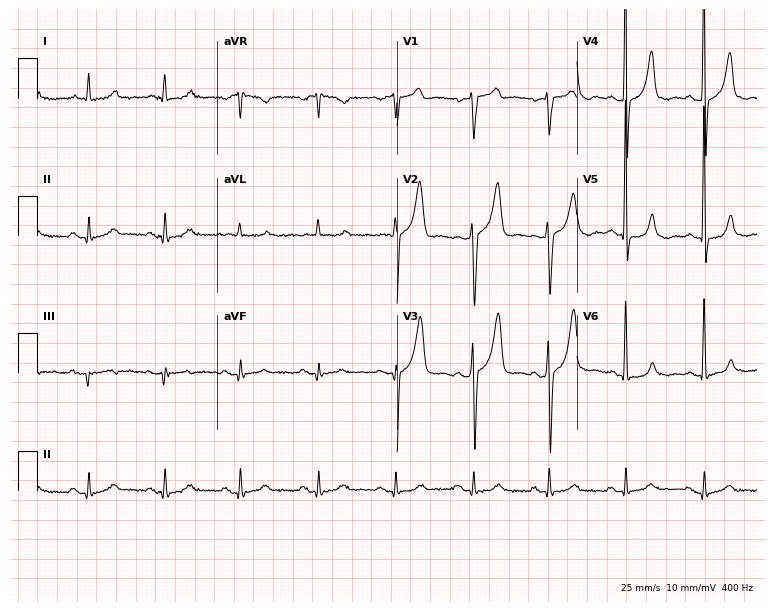
ECG — a 65-year-old man. Labelled as a normal ECG.